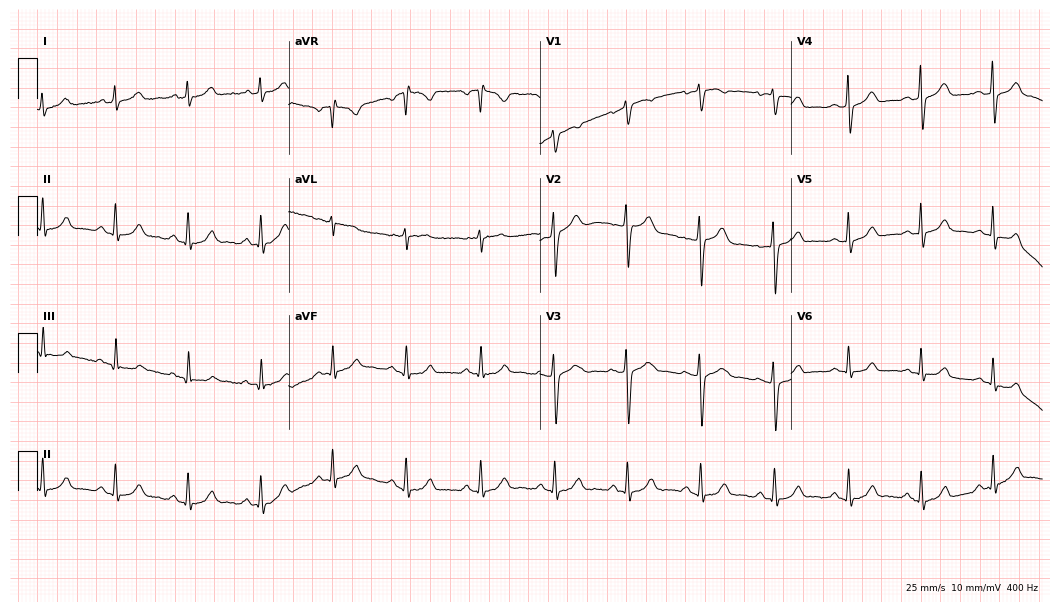
Resting 12-lead electrocardiogram. Patient: a 30-year-old female. Read as a normal ECG.